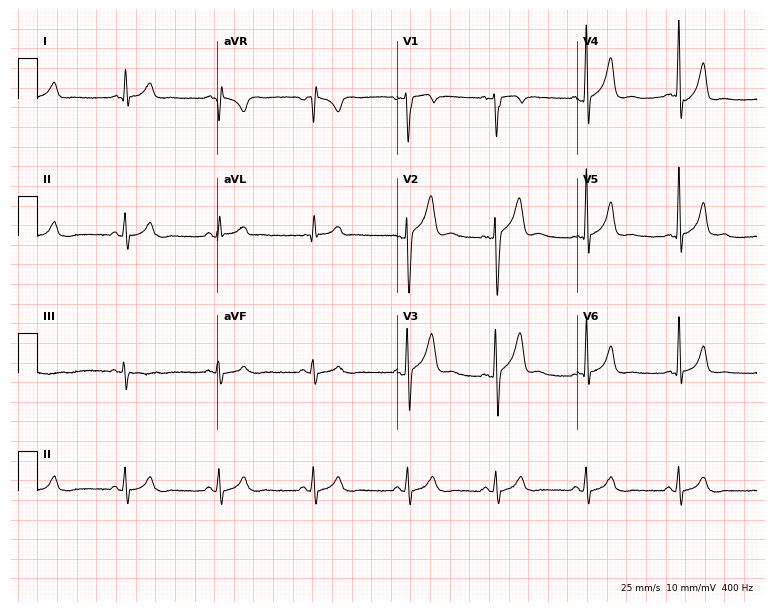
Electrocardiogram (7.3-second recording at 400 Hz), a man, 34 years old. Overall reading on record: normal ECG.